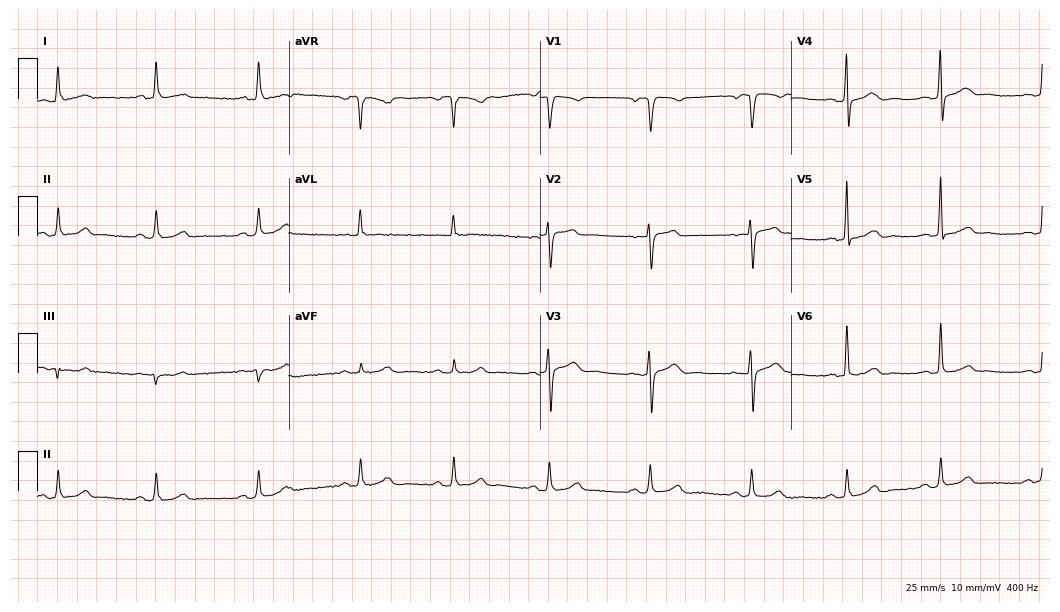
12-lead ECG from a 45-year-old male. Labelled as a normal ECG.